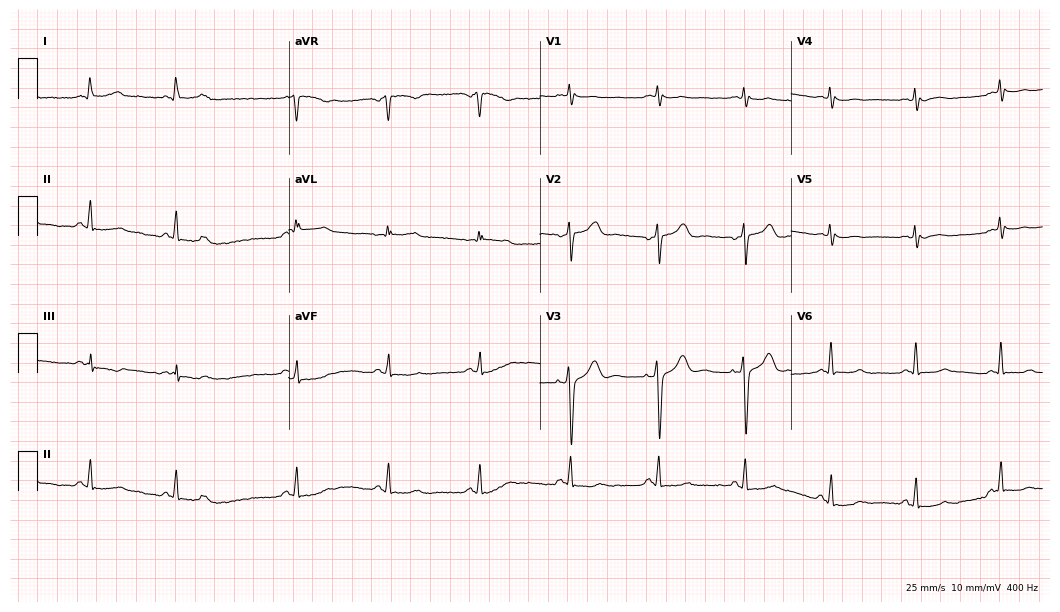
Electrocardiogram, a 58-year-old male. Of the six screened findings (first-degree AV block, right bundle branch block, left bundle branch block, sinus bradycardia, atrial fibrillation, sinus tachycardia), none is recorded. Findings outside these six are not listed.